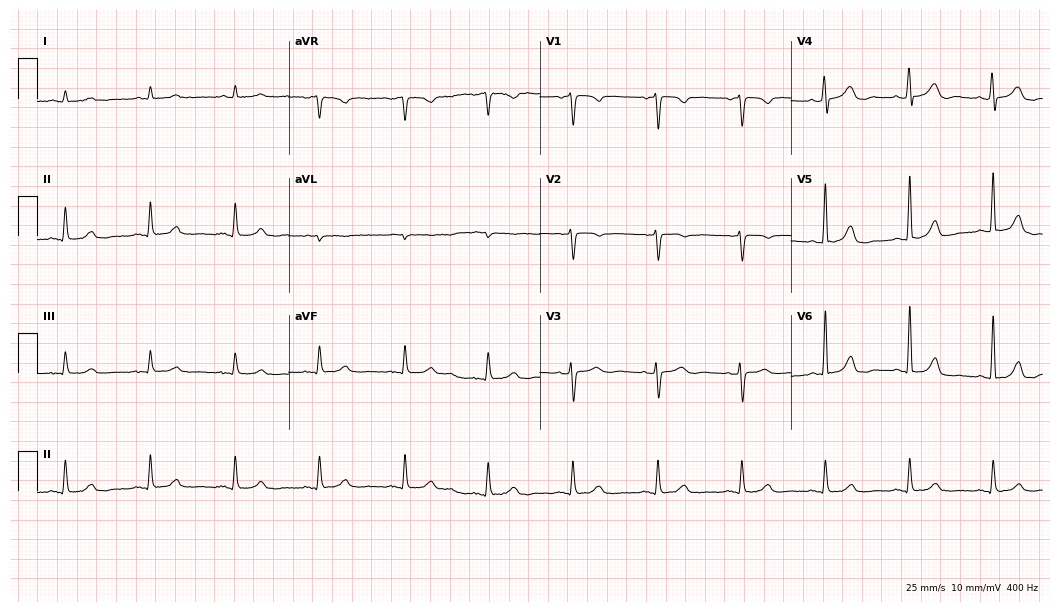
ECG — an 84-year-old man. Screened for six findings — first-degree AV block, right bundle branch block (RBBB), left bundle branch block (LBBB), sinus bradycardia, atrial fibrillation (AF), sinus tachycardia — none is recorded.